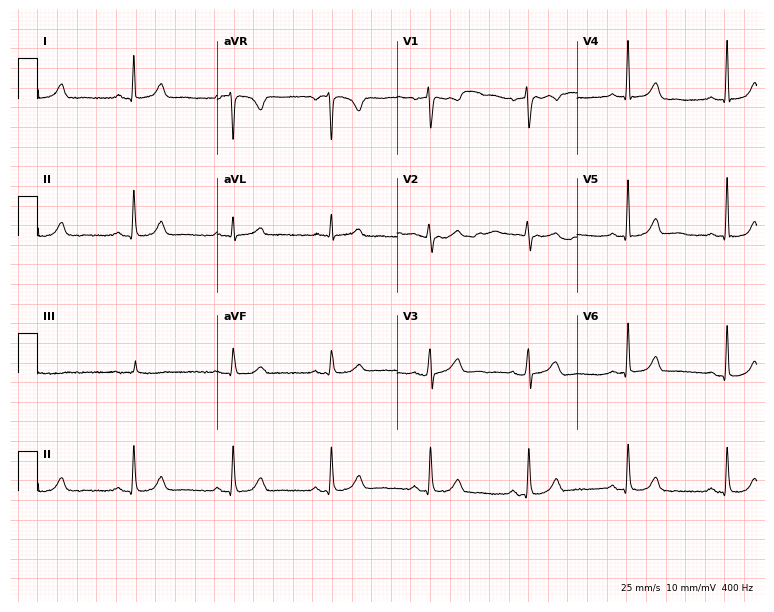
12-lead ECG from a woman, 47 years old. Recorded interpretation: within normal limits.